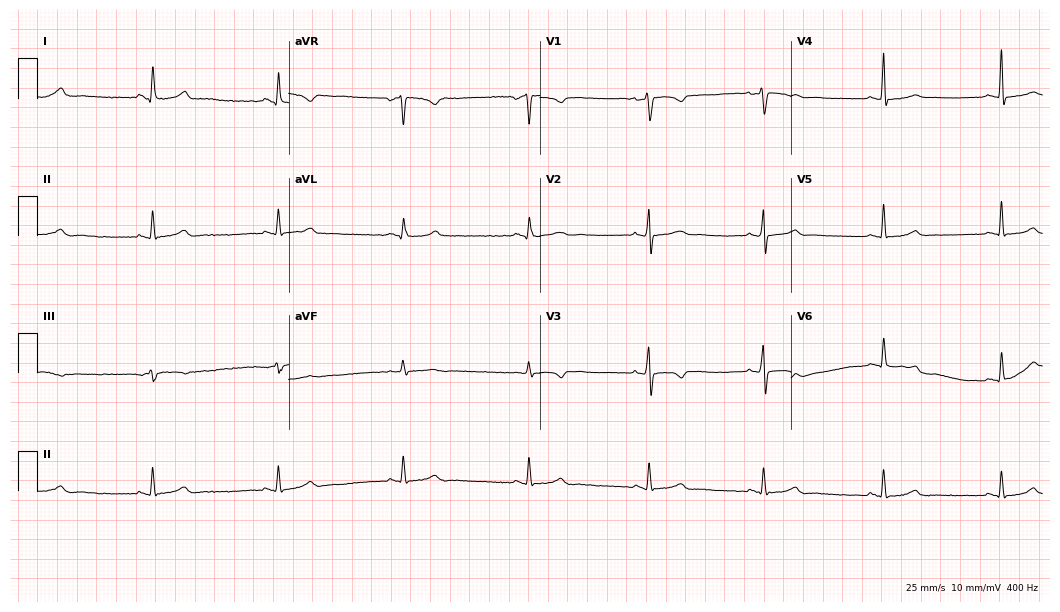
Electrocardiogram, a female patient, 39 years old. Interpretation includes sinus bradycardia (a sinus rate of 50 beats per minute or less).